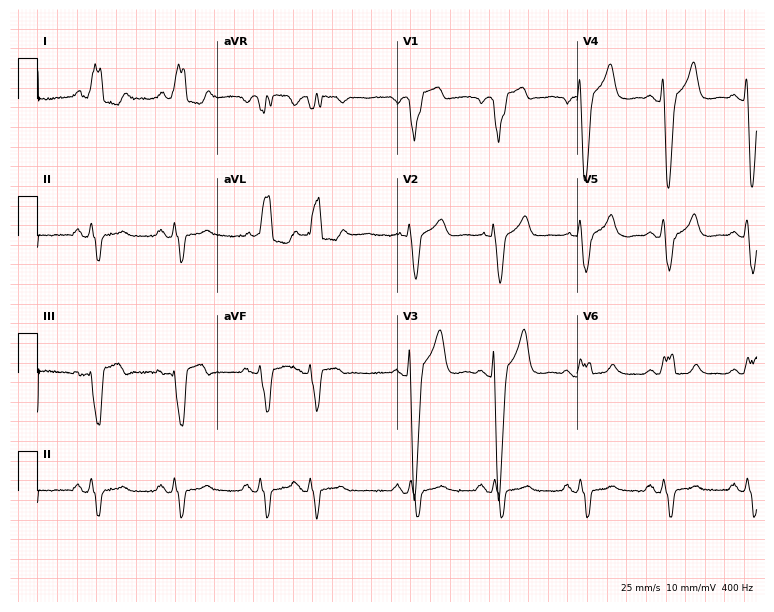
Resting 12-lead electrocardiogram. Patient: a 77-year-old female. The tracing shows left bundle branch block.